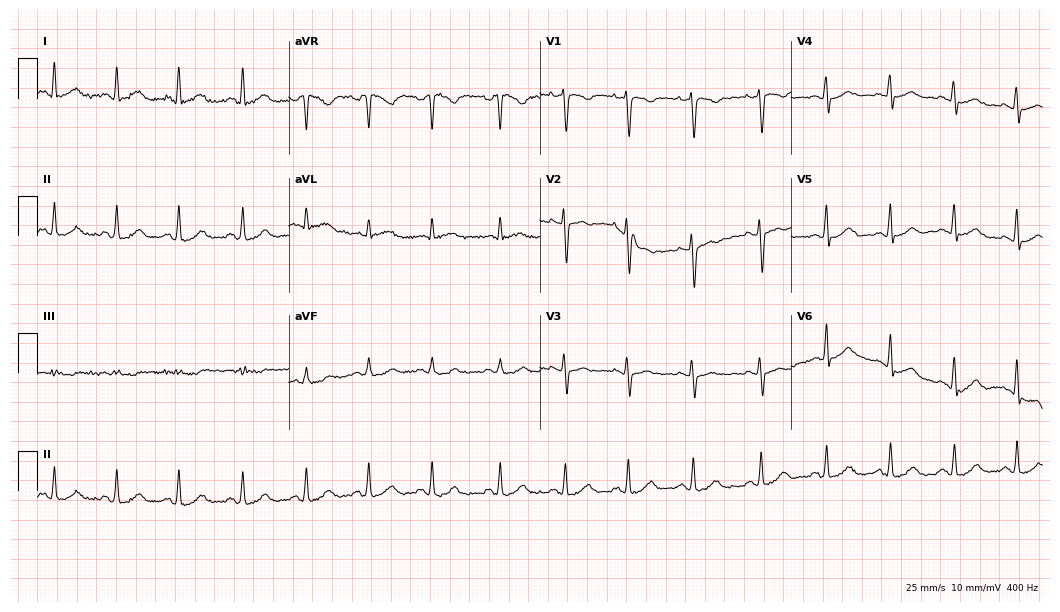
12-lead ECG from a 25-year-old woman (10.2-second recording at 400 Hz). No first-degree AV block, right bundle branch block (RBBB), left bundle branch block (LBBB), sinus bradycardia, atrial fibrillation (AF) or sinus tachycardia recorded for this tracing. Other findings, if any, are not listed.